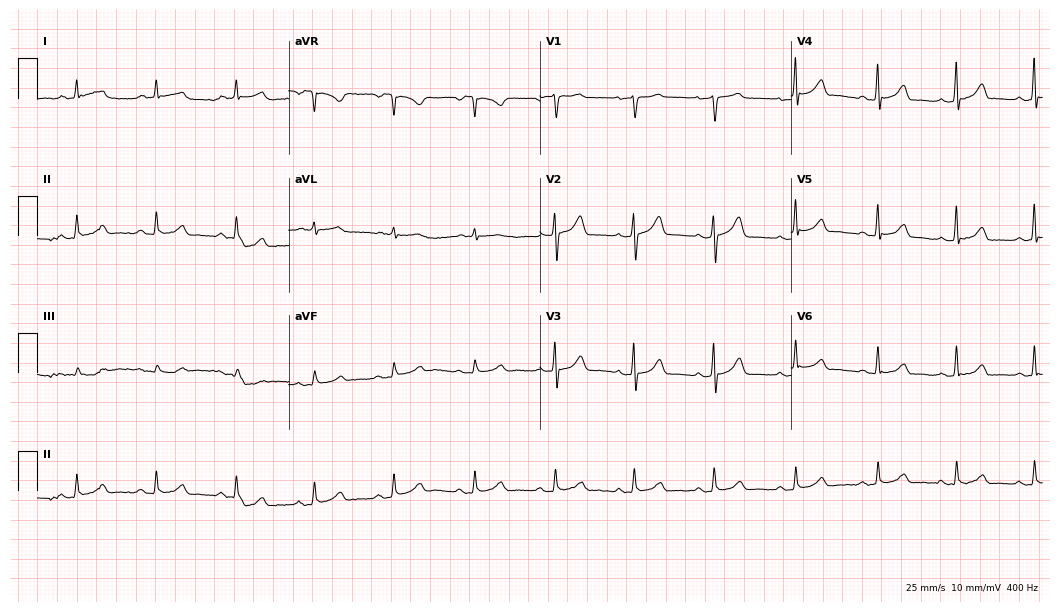
ECG — a female, 72 years old. Labelled as a normal ECG.